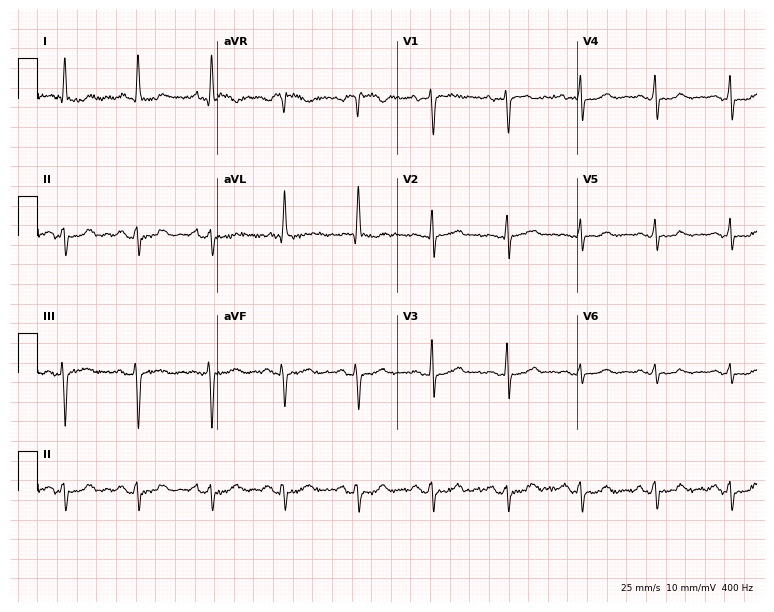
12-lead ECG (7.3-second recording at 400 Hz) from a 55-year-old woman. Screened for six findings — first-degree AV block, right bundle branch block, left bundle branch block, sinus bradycardia, atrial fibrillation, sinus tachycardia — none is recorded.